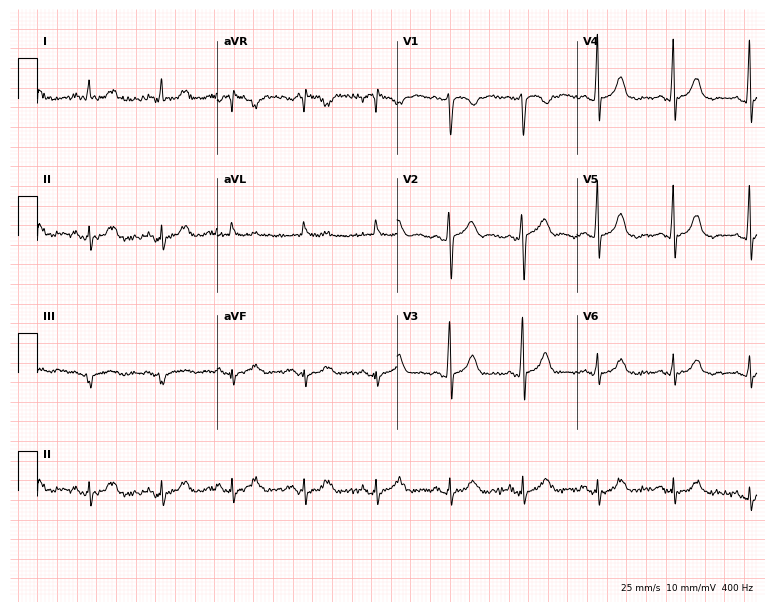
Resting 12-lead electrocardiogram. Patient: a woman, 46 years old. None of these six findings is recorded: first-degree AV block, right bundle branch block, left bundle branch block, sinus bradycardia, atrial fibrillation, sinus tachycardia. Only these six findings were labelled.